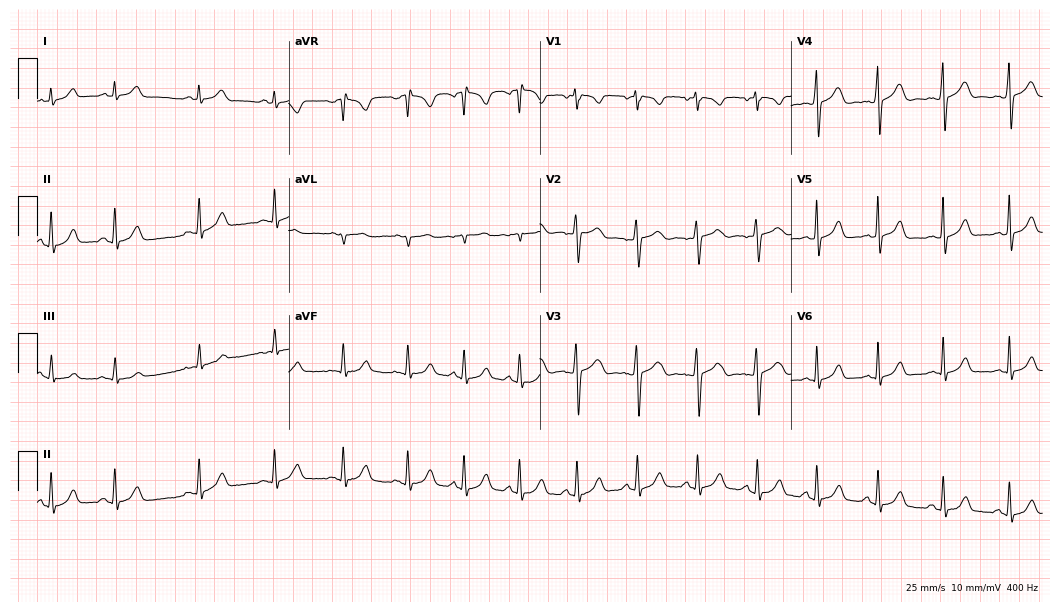
Electrocardiogram, a woman, 18 years old. Overall reading on record: normal ECG.